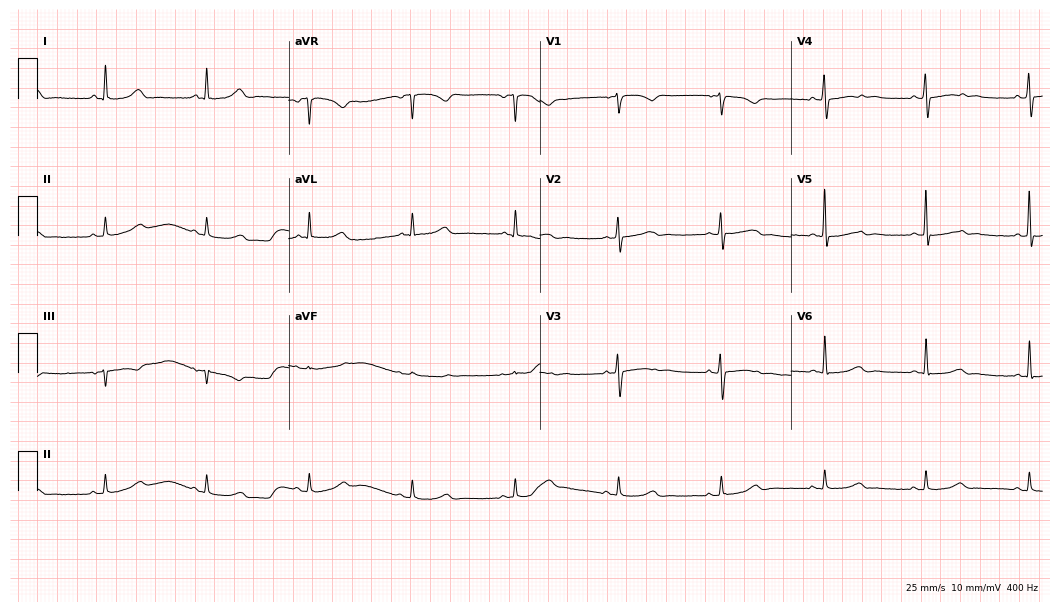
Electrocardiogram (10.2-second recording at 400 Hz), a 54-year-old female. Overall reading on record: normal ECG.